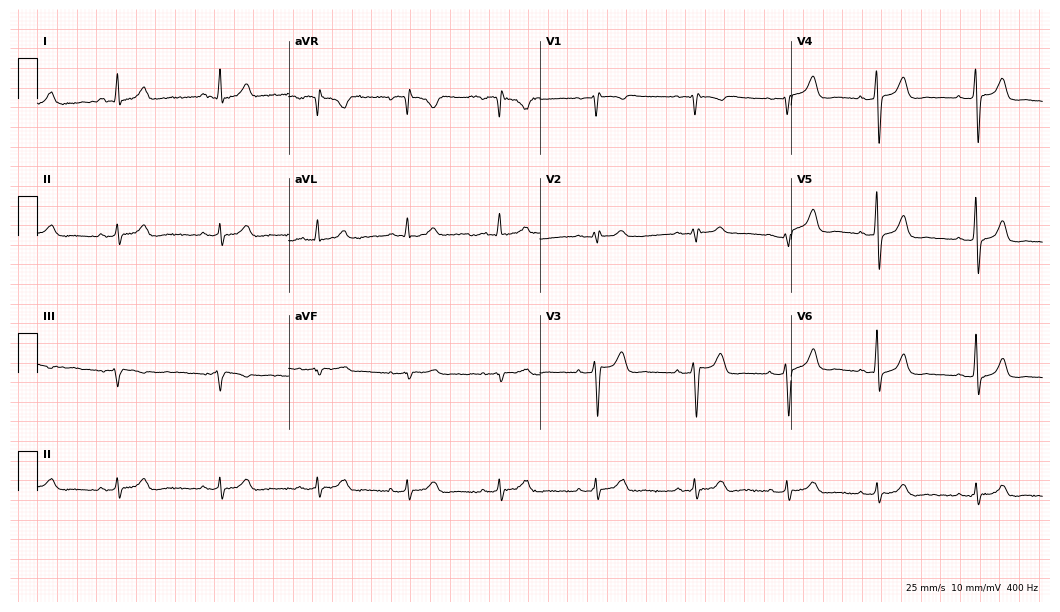
12-lead ECG from a male, 32 years old. Labelled as a normal ECG.